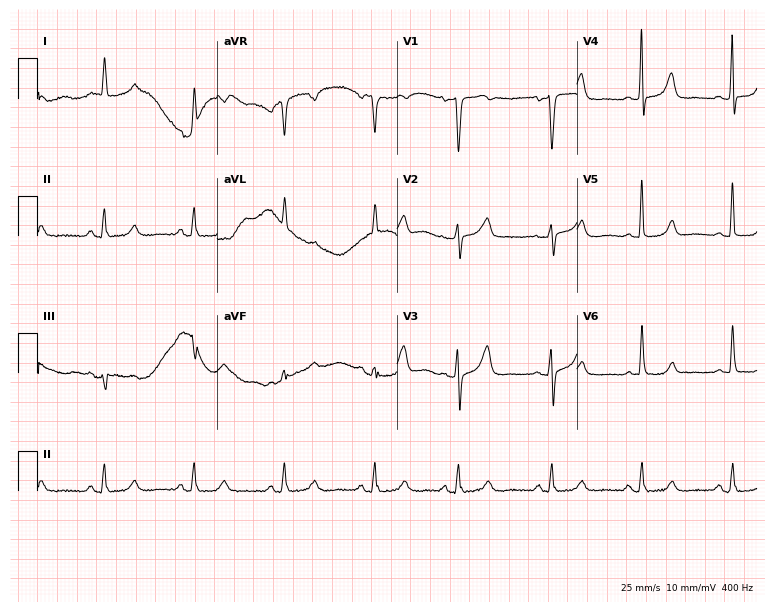
Electrocardiogram (7.3-second recording at 400 Hz), a 74-year-old woman. Overall reading on record: normal ECG.